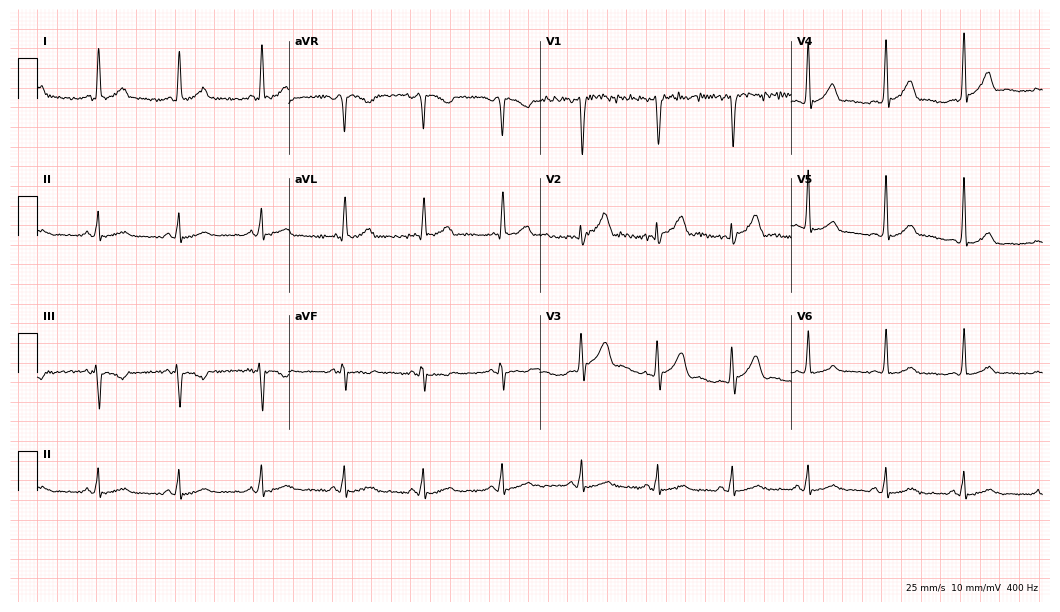
Electrocardiogram (10.2-second recording at 400 Hz), a man, 37 years old. Of the six screened findings (first-degree AV block, right bundle branch block, left bundle branch block, sinus bradycardia, atrial fibrillation, sinus tachycardia), none is recorded. Findings outside these six are not listed.